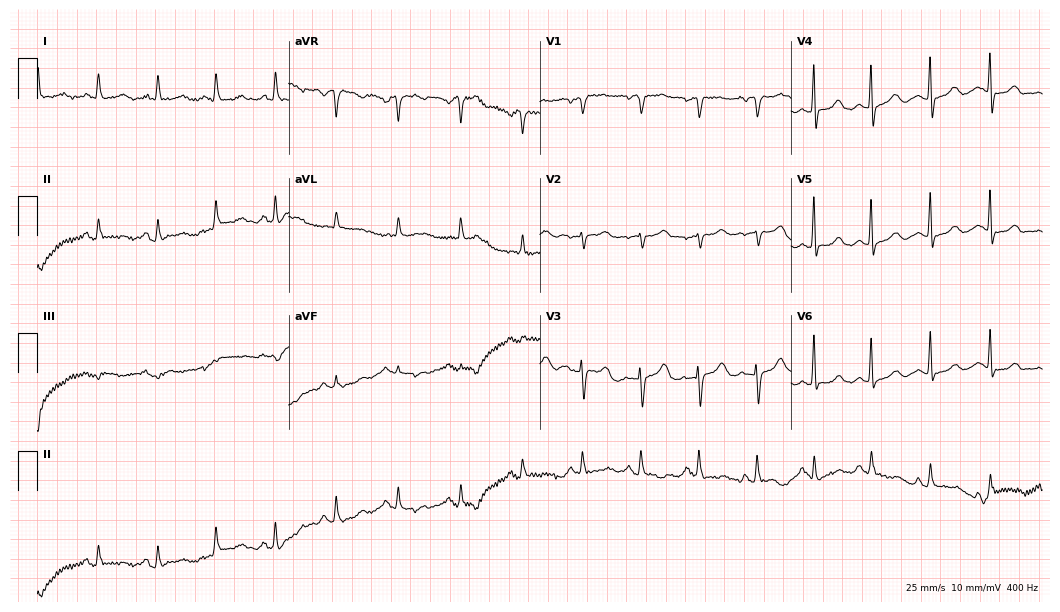
12-lead ECG from a woman, 76 years old. Labelled as a normal ECG.